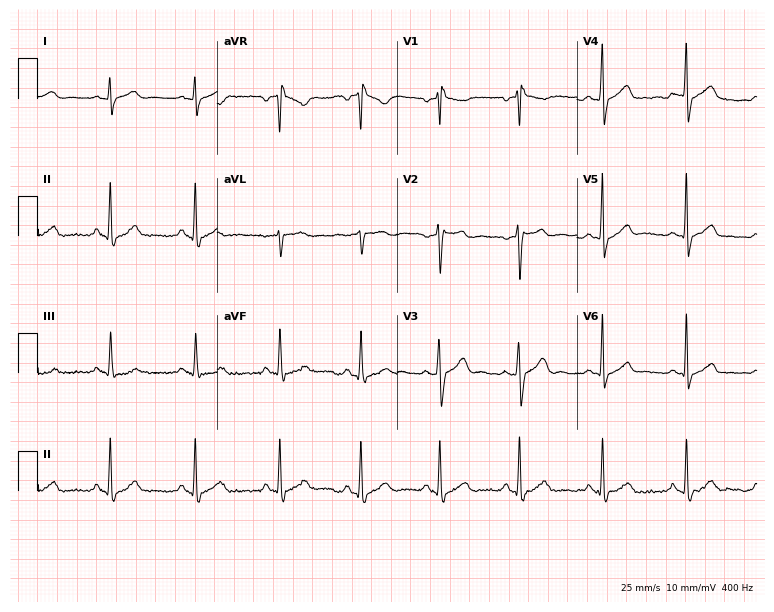
Standard 12-lead ECG recorded from a male patient, 37 years old. None of these six findings is recorded: first-degree AV block, right bundle branch block, left bundle branch block, sinus bradycardia, atrial fibrillation, sinus tachycardia. Only these six findings were labelled.